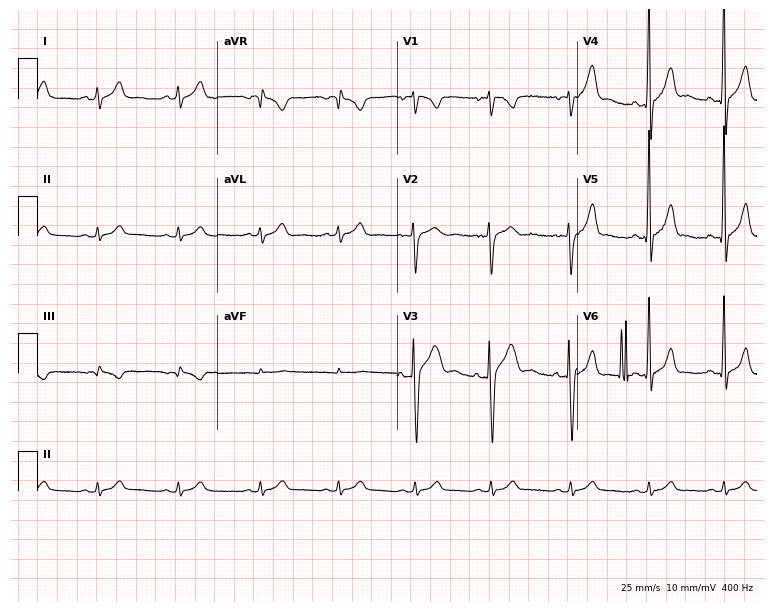
Electrocardiogram, an 18-year-old male. Overall reading on record: normal ECG.